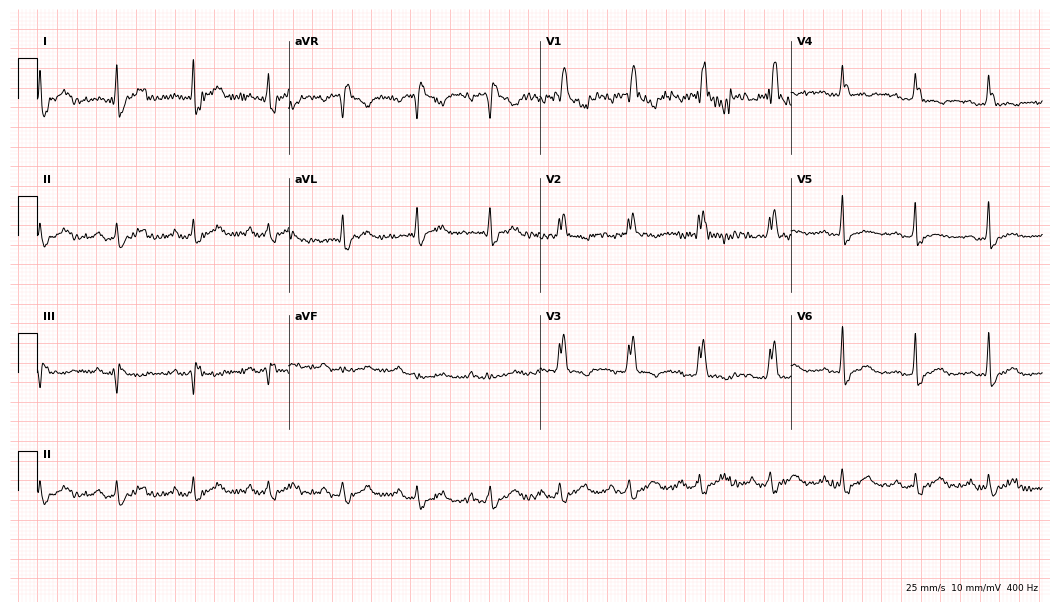
Resting 12-lead electrocardiogram (10.2-second recording at 400 Hz). Patient: a man, 56 years old. The tracing shows right bundle branch block.